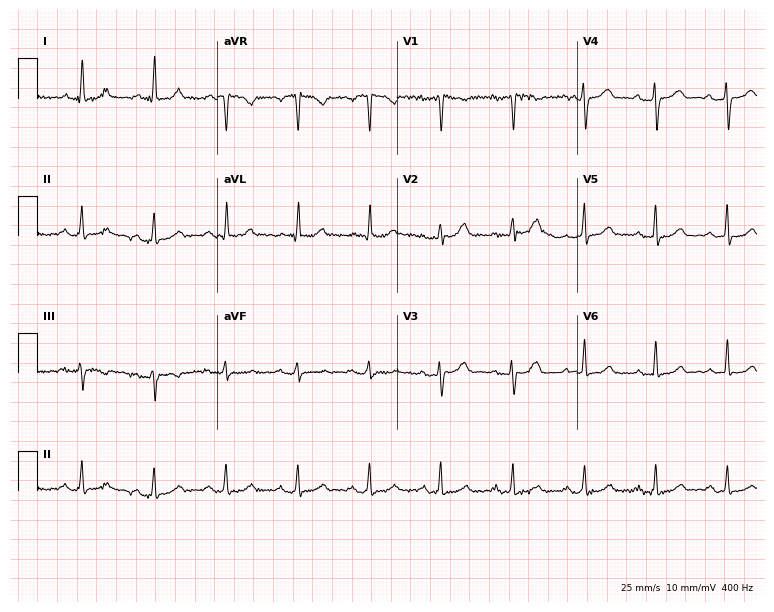
Standard 12-lead ECG recorded from a 58-year-old woman. Read as a normal ECG.